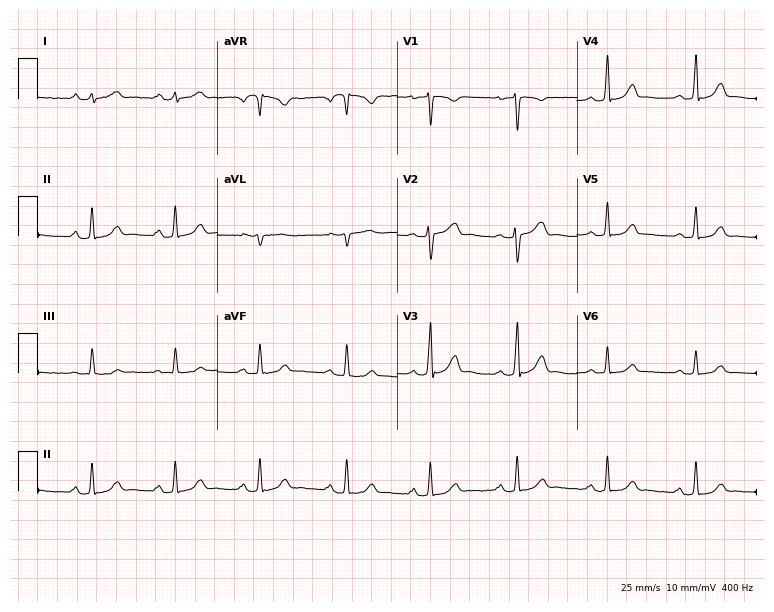
Resting 12-lead electrocardiogram. Patient: a 24-year-old female. None of these six findings is recorded: first-degree AV block, right bundle branch block, left bundle branch block, sinus bradycardia, atrial fibrillation, sinus tachycardia. Other findings, if any, are not listed.